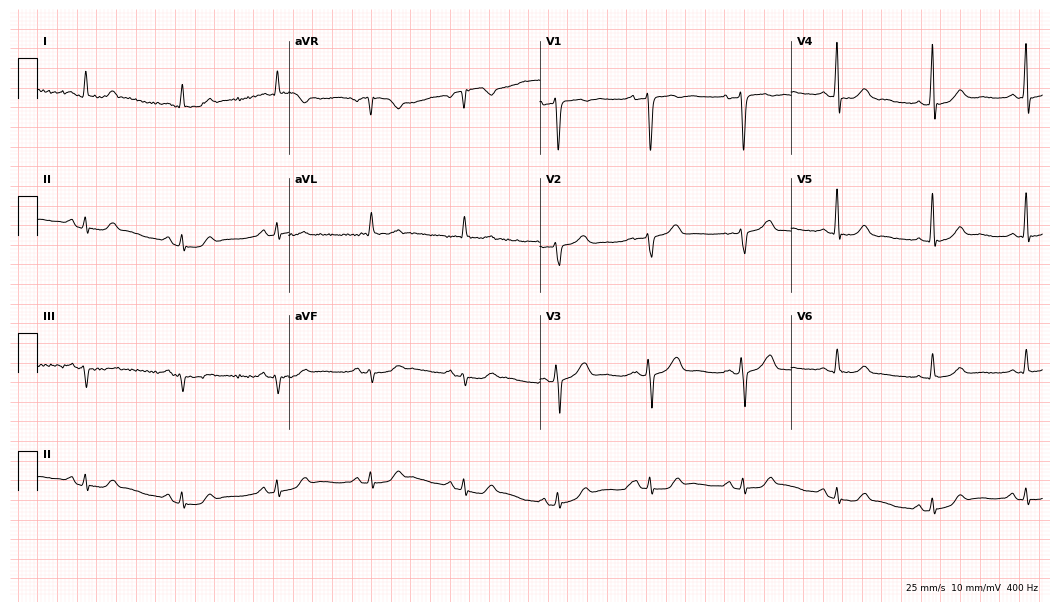
Resting 12-lead electrocardiogram (10.2-second recording at 400 Hz). Patient: a male, 65 years old. Read as a normal ECG.